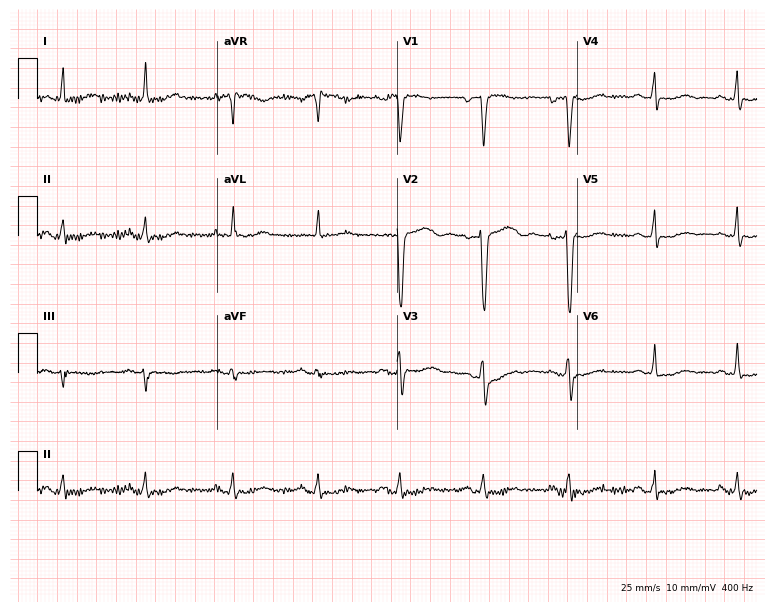
Standard 12-lead ECG recorded from a 44-year-old female patient. None of these six findings is recorded: first-degree AV block, right bundle branch block (RBBB), left bundle branch block (LBBB), sinus bradycardia, atrial fibrillation (AF), sinus tachycardia. Only these six findings were labelled.